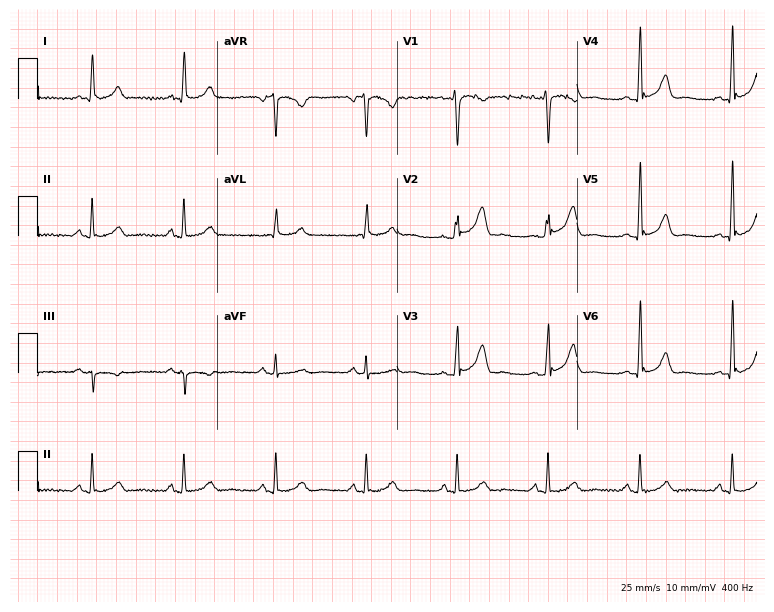
ECG (7.3-second recording at 400 Hz) — a 57-year-old woman. Screened for six findings — first-degree AV block, right bundle branch block (RBBB), left bundle branch block (LBBB), sinus bradycardia, atrial fibrillation (AF), sinus tachycardia — none is recorded.